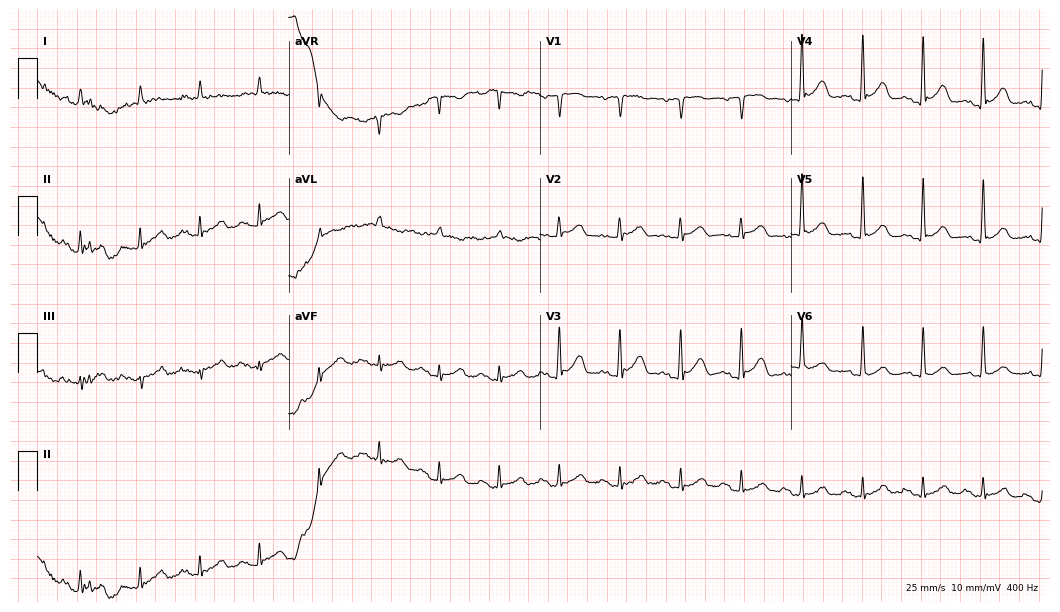
Standard 12-lead ECG recorded from a man, 76 years old (10.2-second recording at 400 Hz). None of these six findings is recorded: first-degree AV block, right bundle branch block (RBBB), left bundle branch block (LBBB), sinus bradycardia, atrial fibrillation (AF), sinus tachycardia. Only these six findings were labelled.